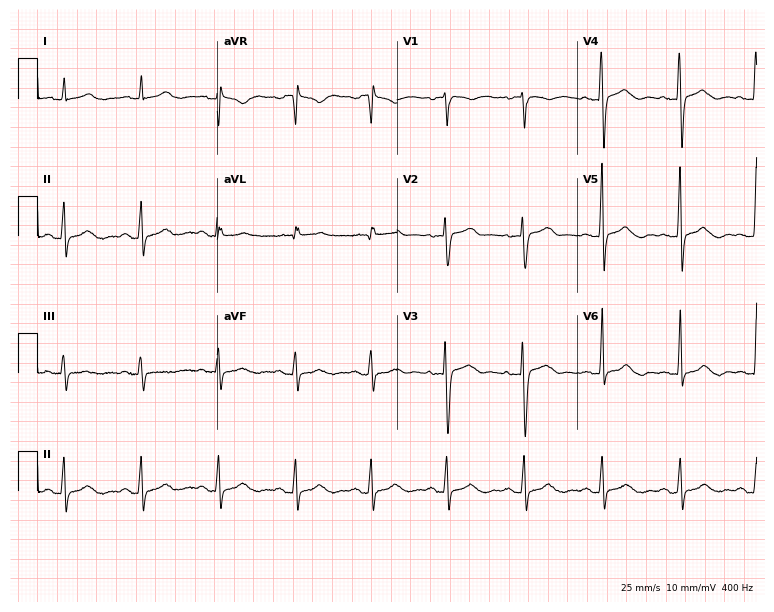
Standard 12-lead ECG recorded from a woman, 49 years old (7.3-second recording at 400 Hz). Read as a normal ECG.